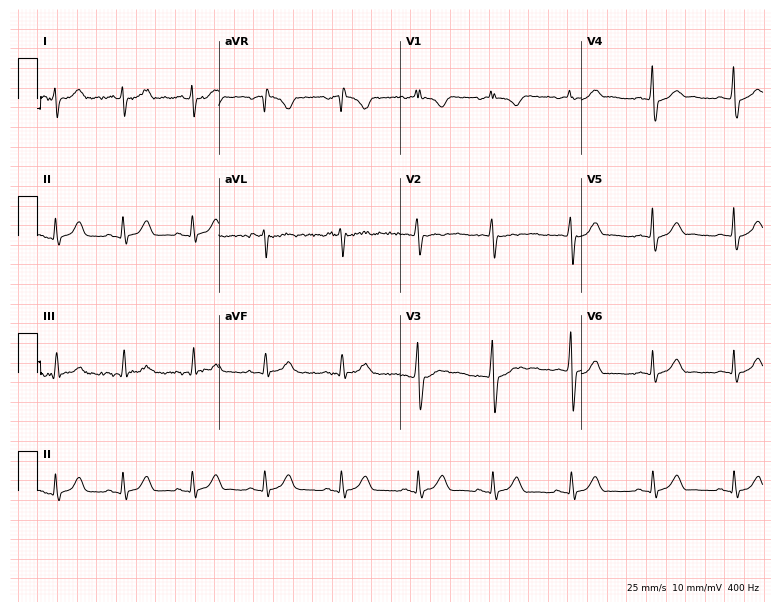
12-lead ECG from a male patient, 30 years old. Labelled as a normal ECG.